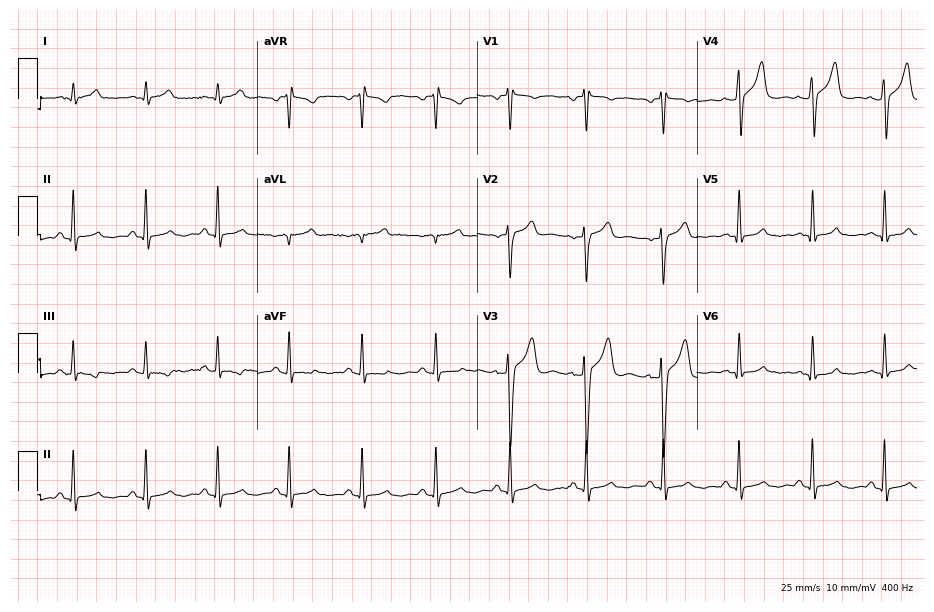
12-lead ECG from a man, 45 years old. Recorded interpretation: within normal limits.